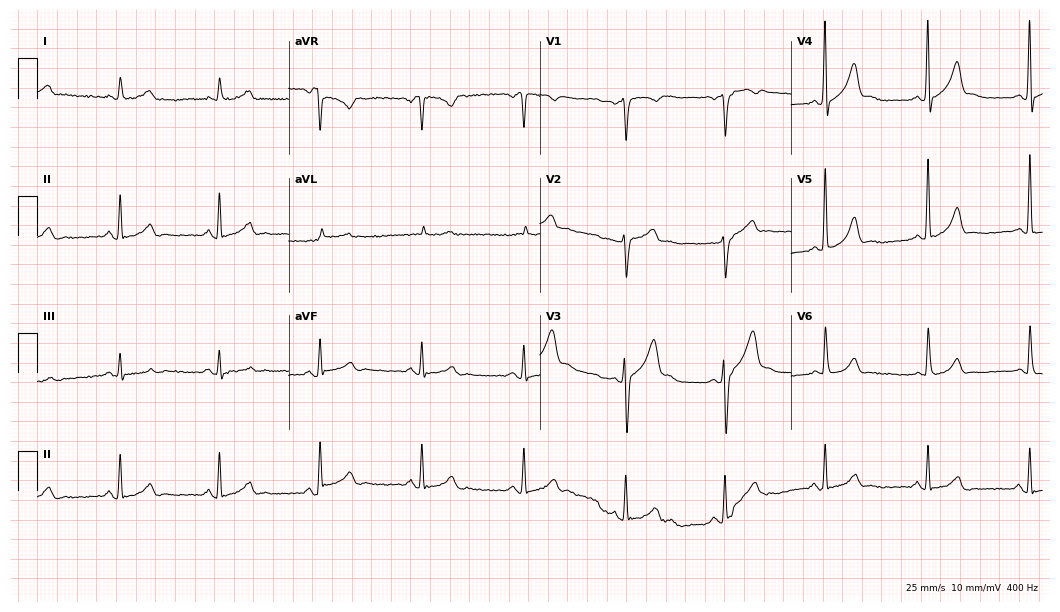
Resting 12-lead electrocardiogram (10.2-second recording at 400 Hz). Patient: a man, 49 years old. Read as a normal ECG.